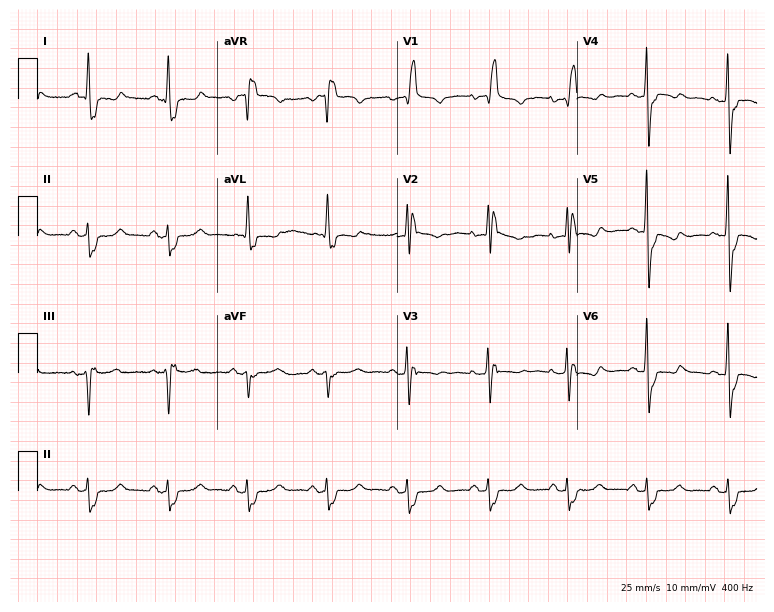
ECG (7.3-second recording at 400 Hz) — a female, 73 years old. Screened for six findings — first-degree AV block, right bundle branch block (RBBB), left bundle branch block (LBBB), sinus bradycardia, atrial fibrillation (AF), sinus tachycardia — none is recorded.